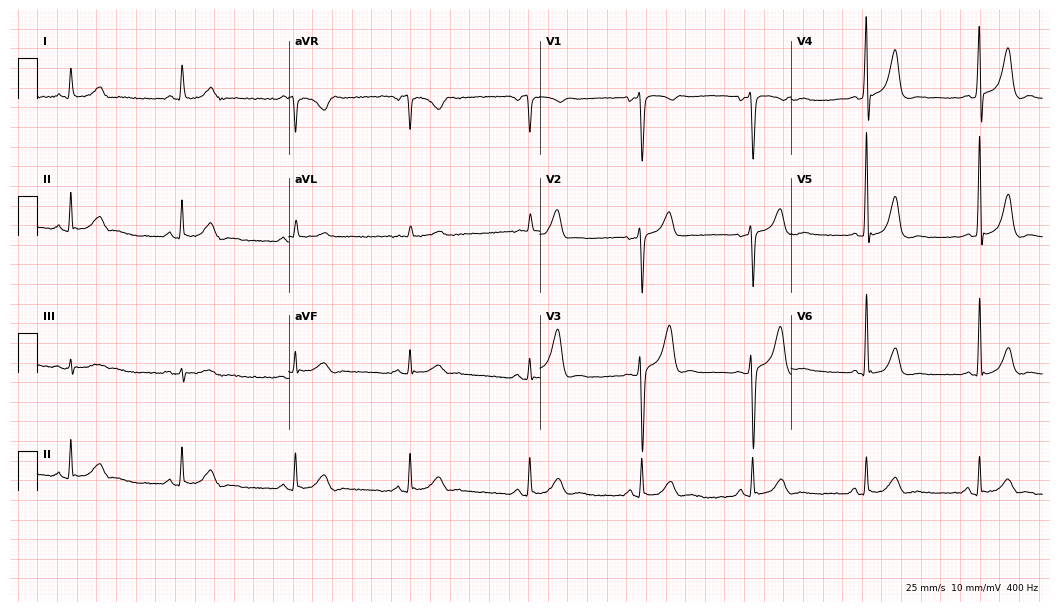
12-lead ECG from a male patient, 63 years old. Labelled as a normal ECG.